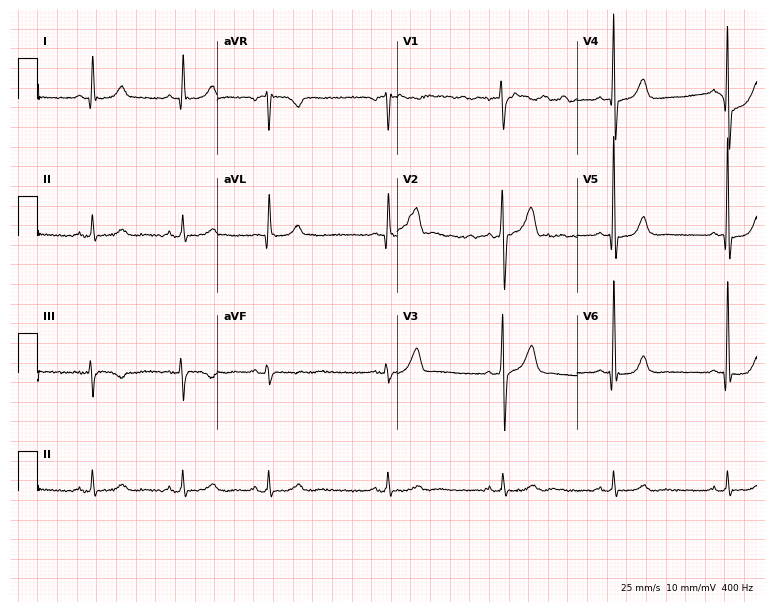
Standard 12-lead ECG recorded from a 38-year-old male patient. Read as a normal ECG.